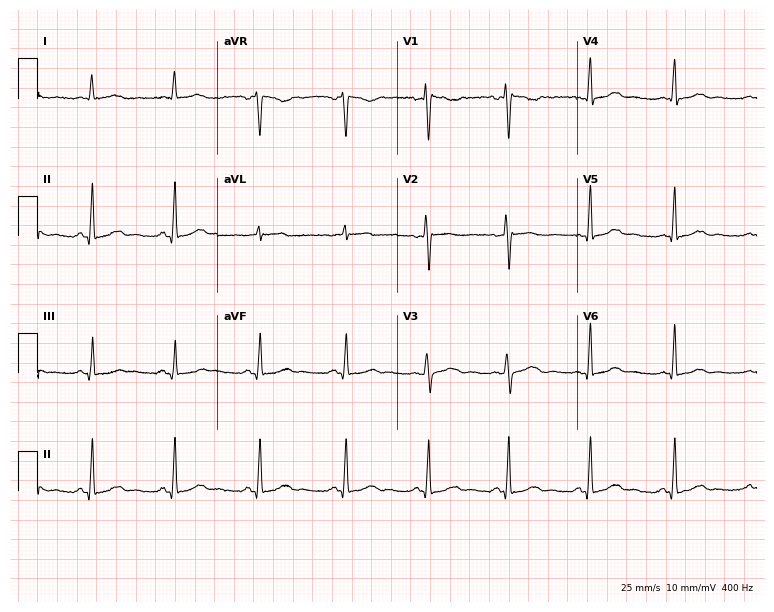
Standard 12-lead ECG recorded from a female, 42 years old (7.3-second recording at 400 Hz). Read as a normal ECG.